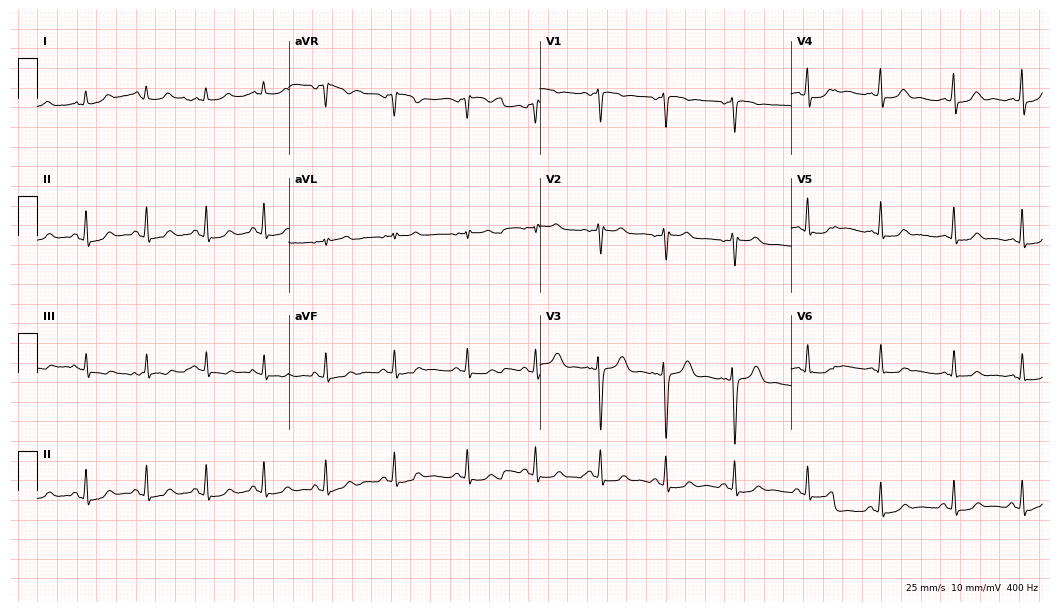
ECG — a 36-year-old female patient. Screened for six findings — first-degree AV block, right bundle branch block, left bundle branch block, sinus bradycardia, atrial fibrillation, sinus tachycardia — none is recorded.